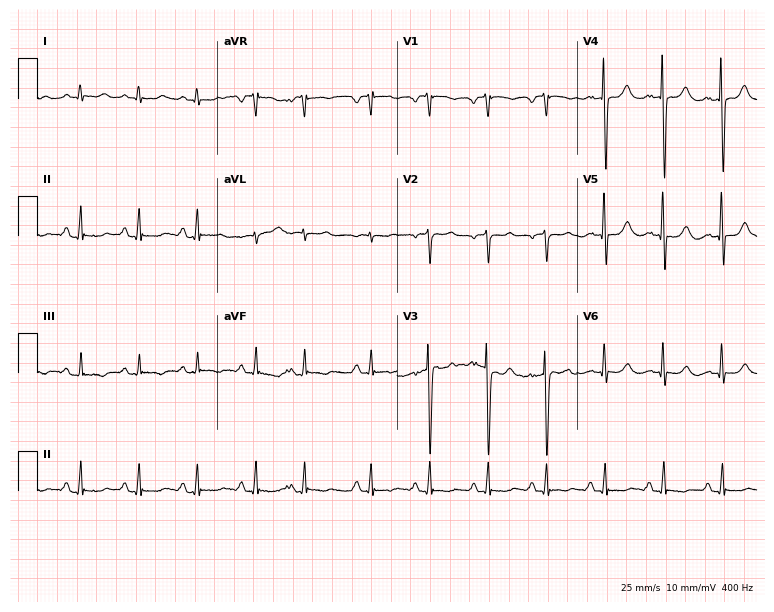
Standard 12-lead ECG recorded from a 71-year-old male. None of these six findings is recorded: first-degree AV block, right bundle branch block, left bundle branch block, sinus bradycardia, atrial fibrillation, sinus tachycardia. Findings outside these six are not listed.